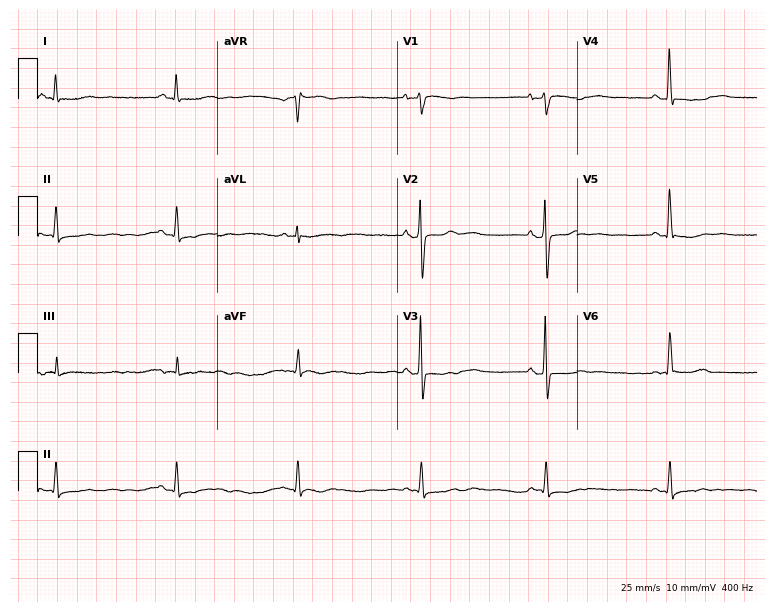
Standard 12-lead ECG recorded from a female patient, 62 years old. The tracing shows sinus bradycardia (a sinus rate of 50 beats per minute or less).